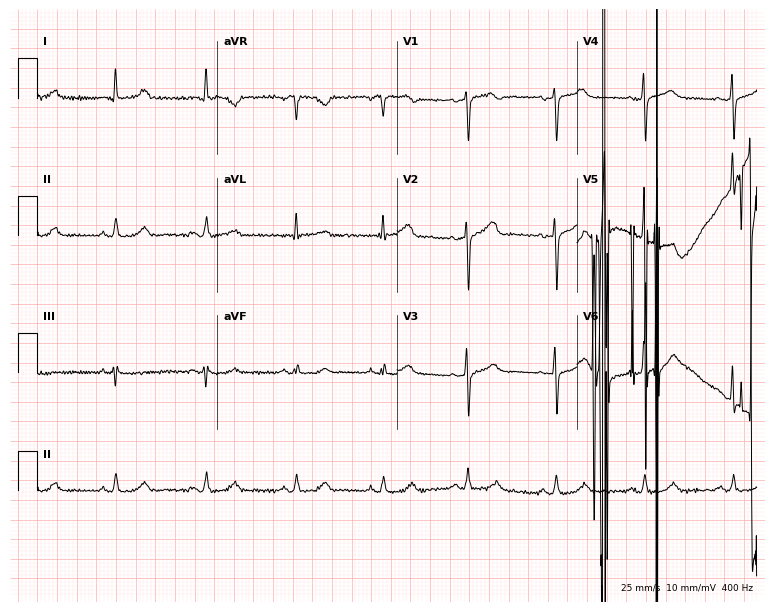
ECG — a 46-year-old woman. Screened for six findings — first-degree AV block, right bundle branch block, left bundle branch block, sinus bradycardia, atrial fibrillation, sinus tachycardia — none is recorded. Only these six findings were labelled.